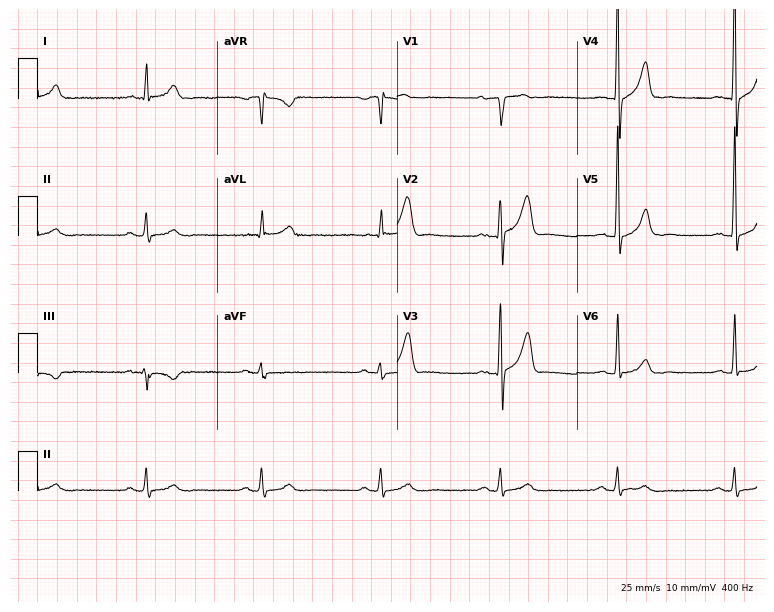
12-lead ECG from a 70-year-old male. No first-degree AV block, right bundle branch block, left bundle branch block, sinus bradycardia, atrial fibrillation or sinus tachycardia recorded for this tracing. Other findings, if any, are not listed.